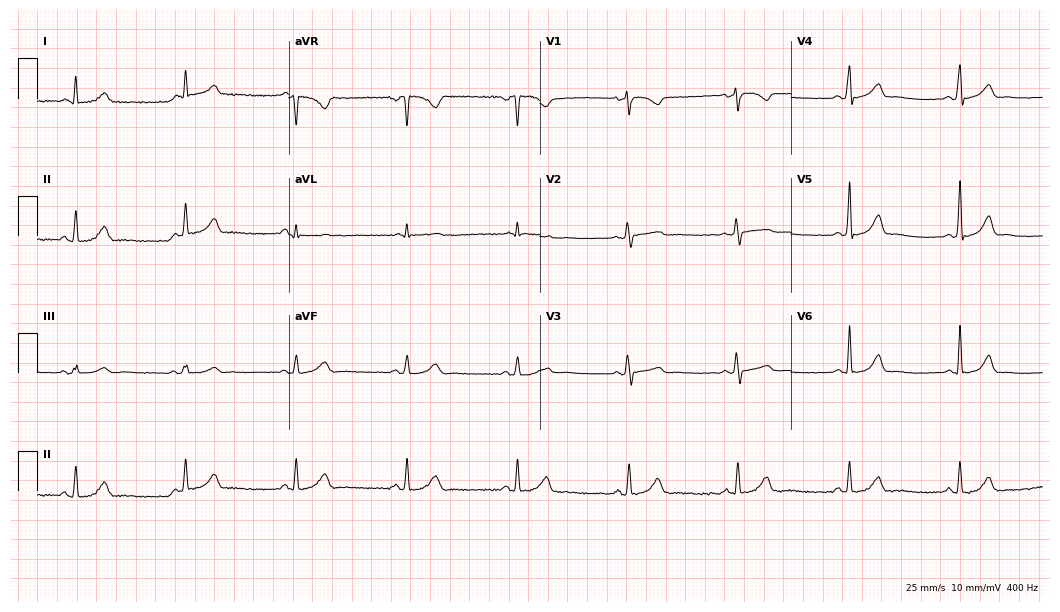
ECG (10.2-second recording at 400 Hz) — a 38-year-old female patient. Labelled as a normal ECG.